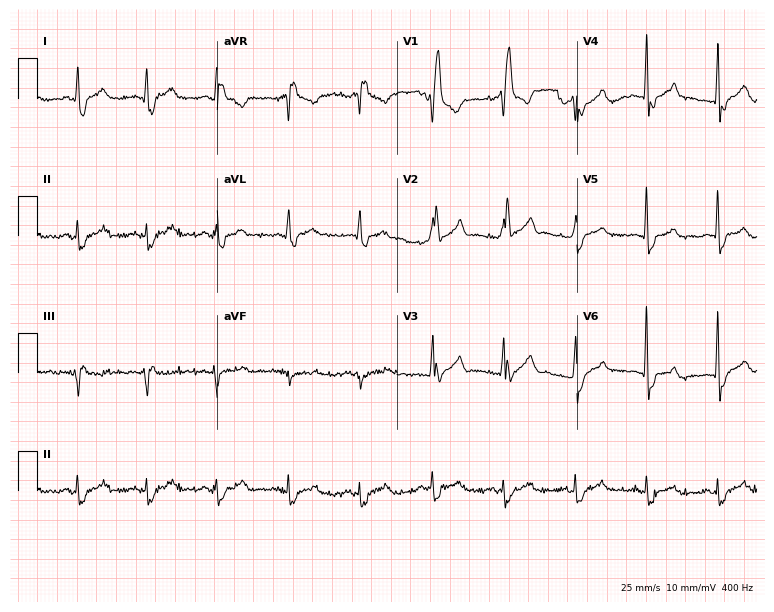
ECG — a male patient, 40 years old. Findings include right bundle branch block (RBBB).